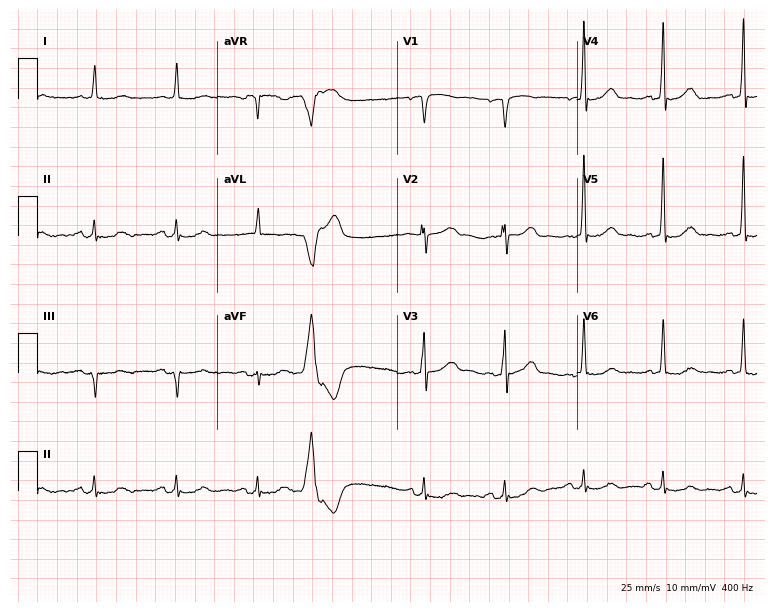
Electrocardiogram, a man, 77 years old. Of the six screened findings (first-degree AV block, right bundle branch block (RBBB), left bundle branch block (LBBB), sinus bradycardia, atrial fibrillation (AF), sinus tachycardia), none is recorded. Only these six findings were labelled.